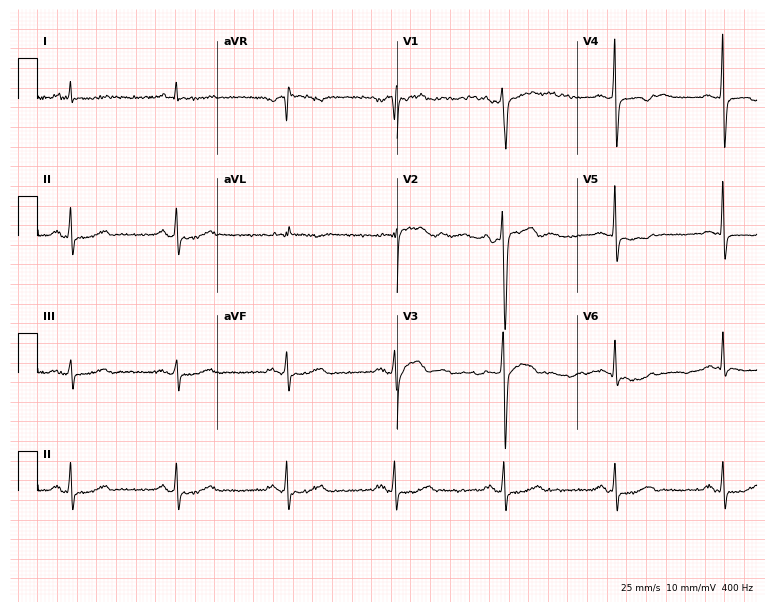
12-lead ECG from a male, 62 years old. Screened for six findings — first-degree AV block, right bundle branch block, left bundle branch block, sinus bradycardia, atrial fibrillation, sinus tachycardia — none is recorded. Only these six findings were labelled.